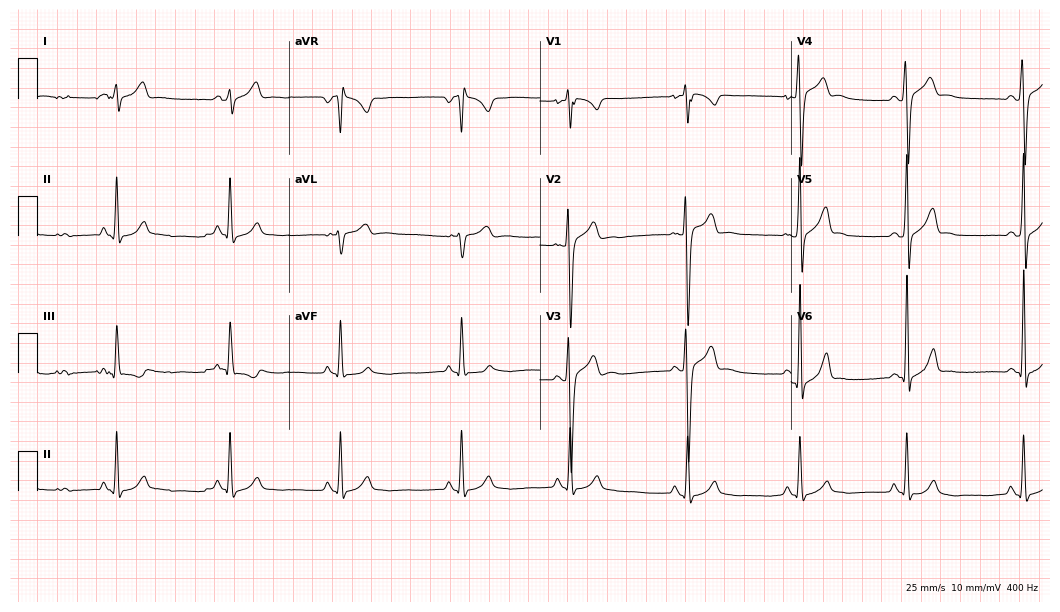
ECG (10.2-second recording at 400 Hz) — an 18-year-old man. Screened for six findings — first-degree AV block, right bundle branch block (RBBB), left bundle branch block (LBBB), sinus bradycardia, atrial fibrillation (AF), sinus tachycardia — none is recorded. Findings outside these six are not listed.